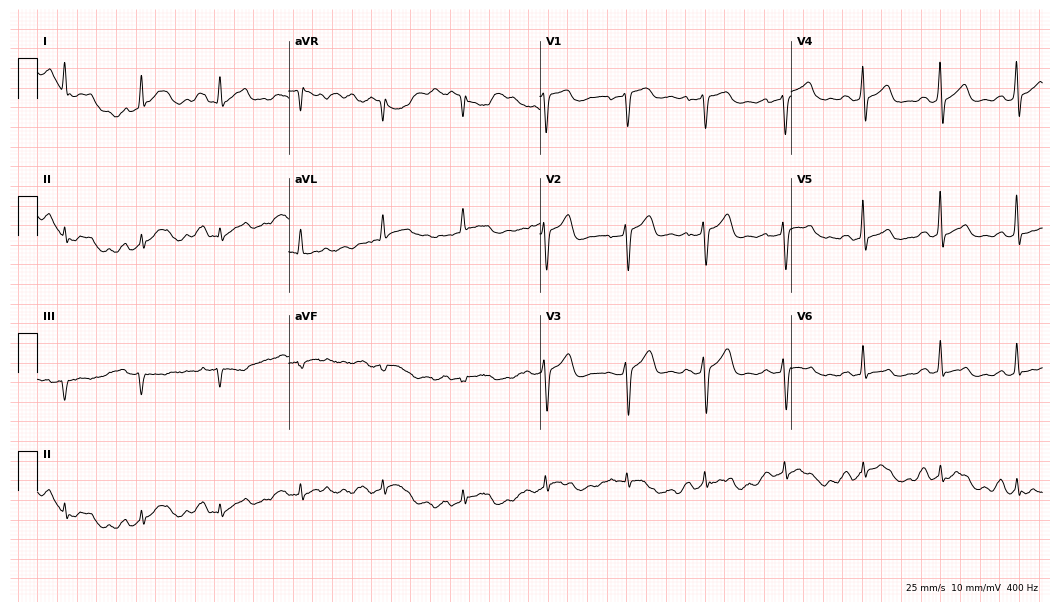
Electrocardiogram (10.2-second recording at 400 Hz), a 54-year-old male. Overall reading on record: normal ECG.